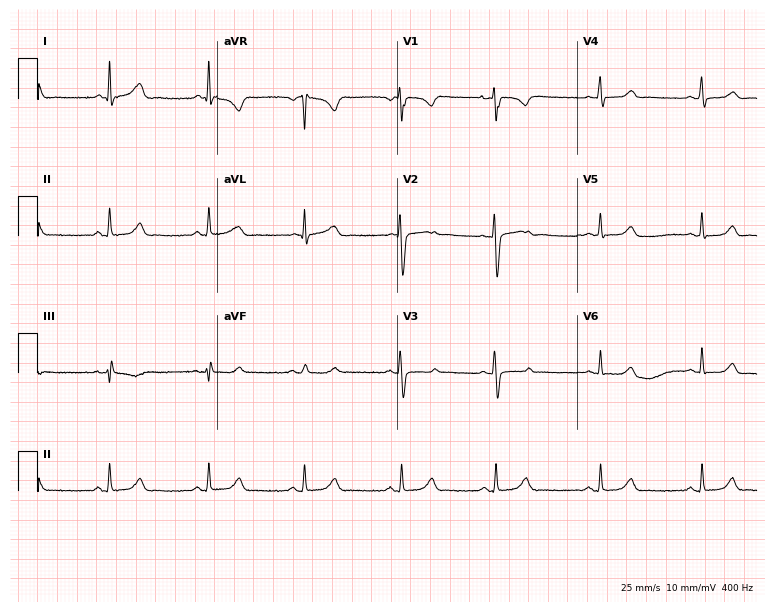
Electrocardiogram (7.3-second recording at 400 Hz), a 39-year-old female patient. Overall reading on record: normal ECG.